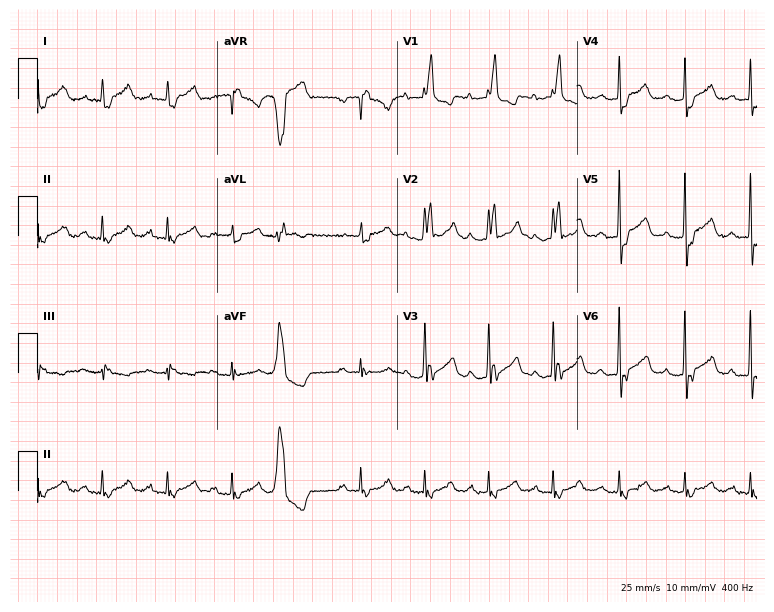
12-lead ECG (7.3-second recording at 400 Hz) from a man, 84 years old. Findings include right bundle branch block.